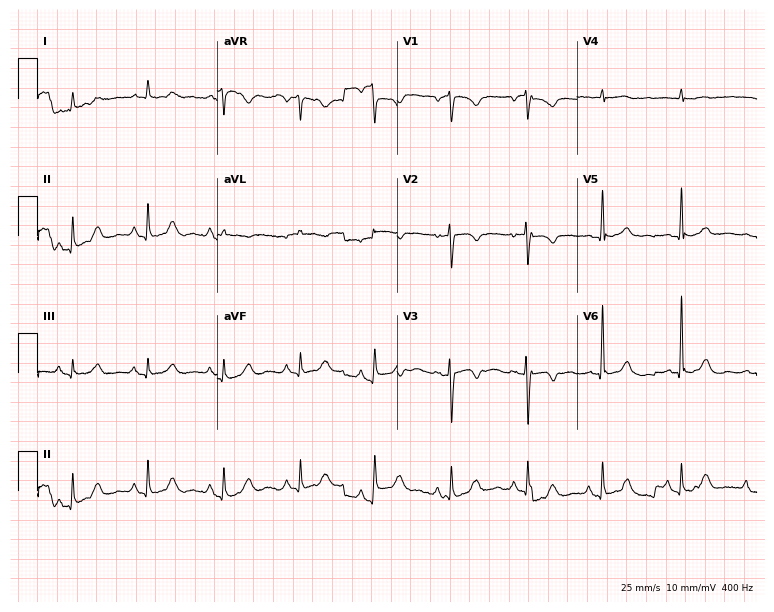
Standard 12-lead ECG recorded from a woman, 76 years old (7.3-second recording at 400 Hz). None of these six findings is recorded: first-degree AV block, right bundle branch block, left bundle branch block, sinus bradycardia, atrial fibrillation, sinus tachycardia.